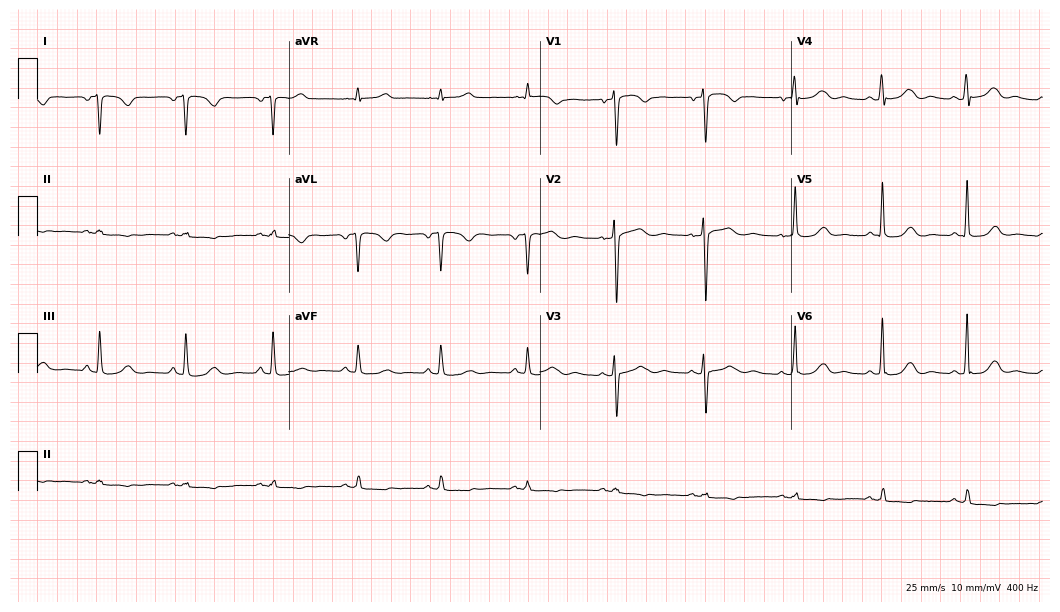
ECG — a 50-year-old female. Screened for six findings — first-degree AV block, right bundle branch block (RBBB), left bundle branch block (LBBB), sinus bradycardia, atrial fibrillation (AF), sinus tachycardia — none is recorded. Only these six findings were labelled.